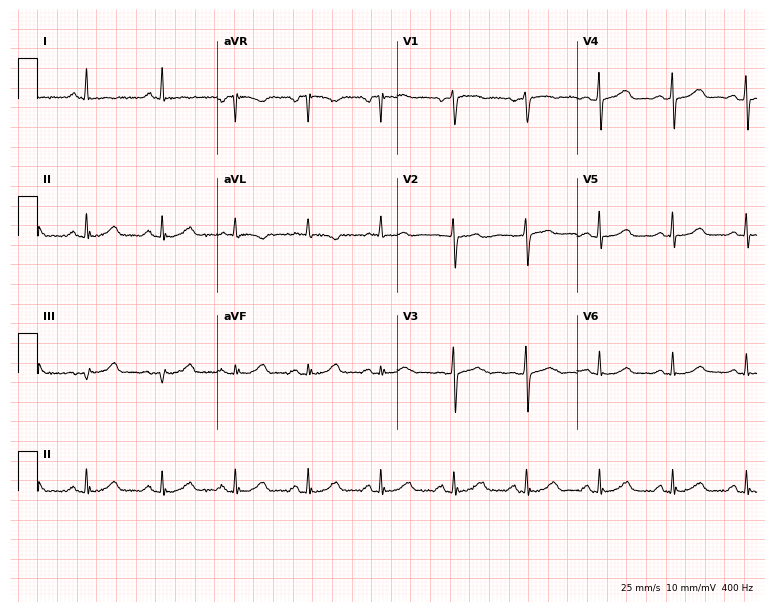
12-lead ECG from a 55-year-old female patient. No first-degree AV block, right bundle branch block (RBBB), left bundle branch block (LBBB), sinus bradycardia, atrial fibrillation (AF) or sinus tachycardia recorded for this tracing.